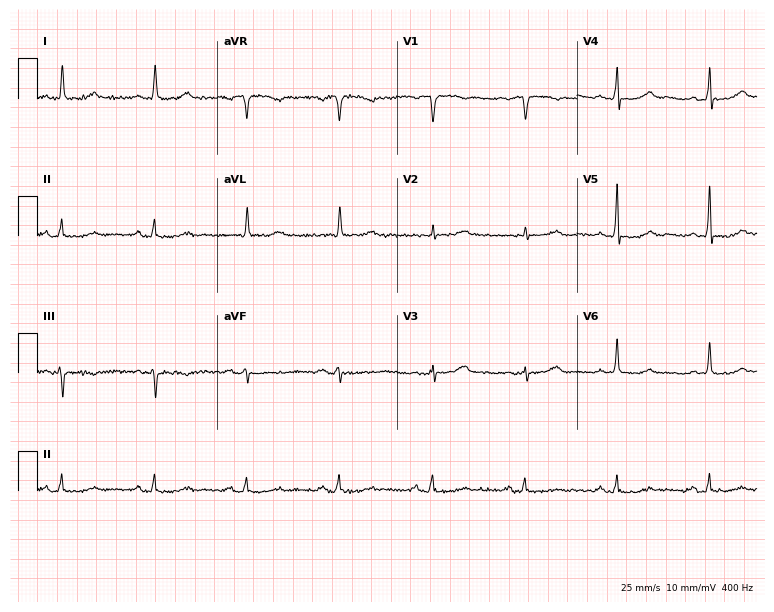
Electrocardiogram, a female, 58 years old. Overall reading on record: normal ECG.